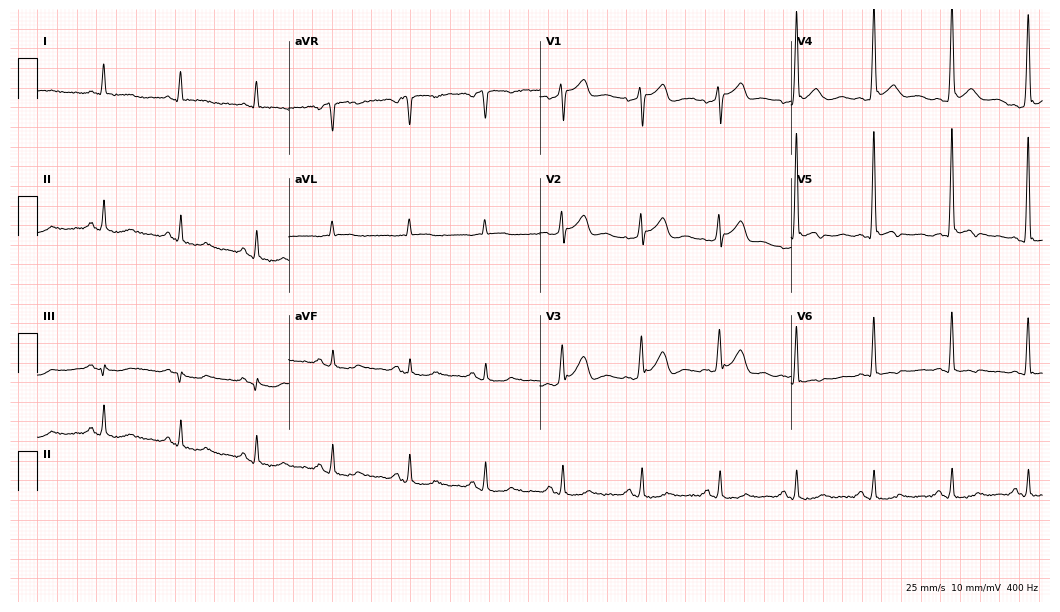
ECG (10.2-second recording at 400 Hz) — a 63-year-old male. Screened for six findings — first-degree AV block, right bundle branch block, left bundle branch block, sinus bradycardia, atrial fibrillation, sinus tachycardia — none is recorded.